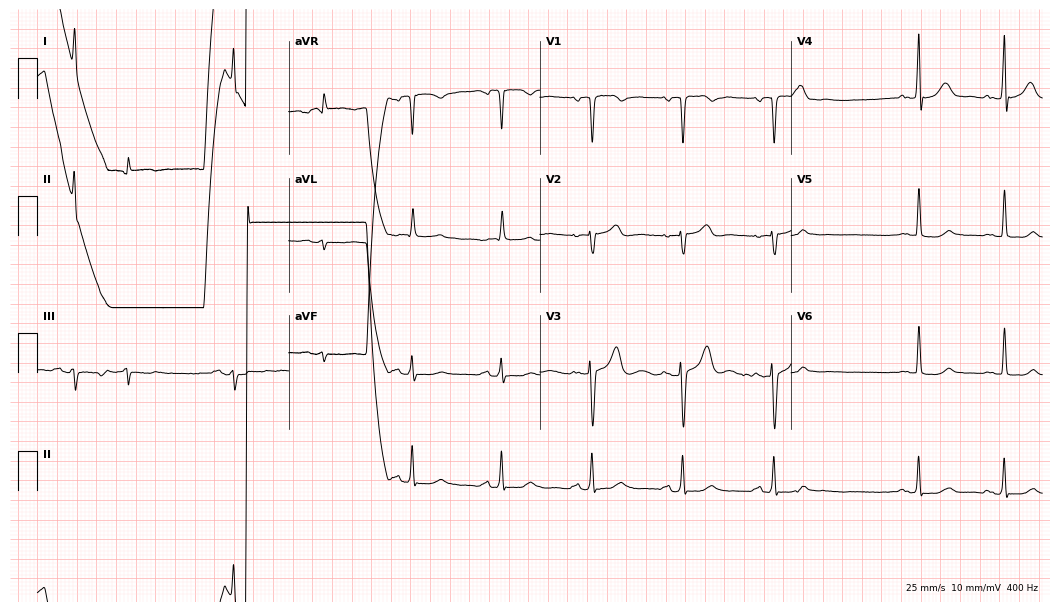
Resting 12-lead electrocardiogram (10.2-second recording at 400 Hz). Patient: a man, 81 years old. Read as a normal ECG.